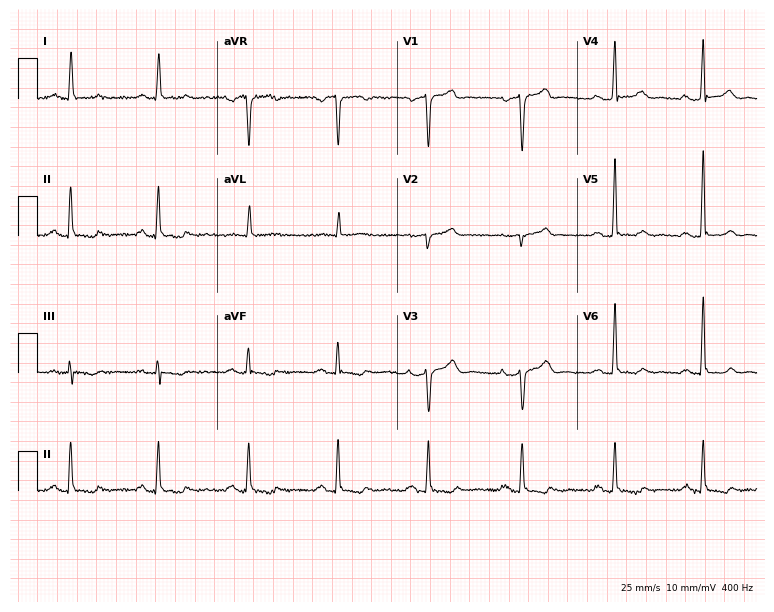
Standard 12-lead ECG recorded from a 55-year-old man (7.3-second recording at 400 Hz). None of these six findings is recorded: first-degree AV block, right bundle branch block (RBBB), left bundle branch block (LBBB), sinus bradycardia, atrial fibrillation (AF), sinus tachycardia. Other findings, if any, are not listed.